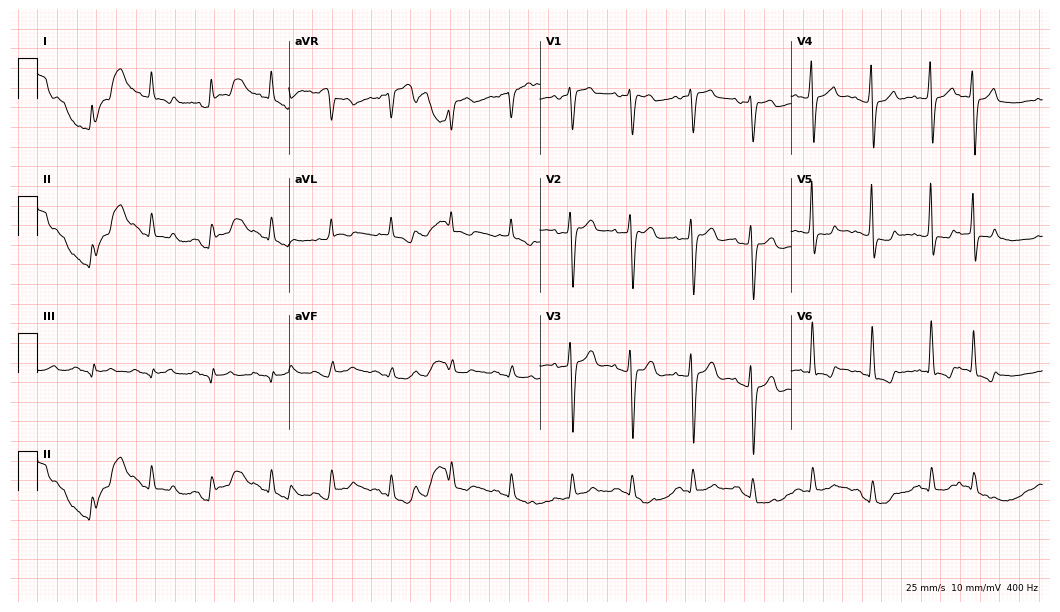
Resting 12-lead electrocardiogram. Patient: a male, 67 years old. None of these six findings is recorded: first-degree AV block, right bundle branch block, left bundle branch block, sinus bradycardia, atrial fibrillation, sinus tachycardia.